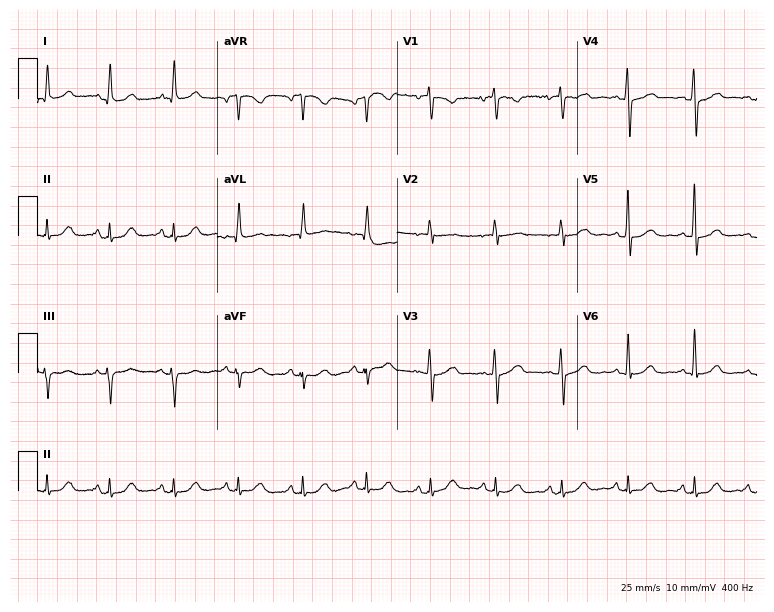
ECG — a woman, 69 years old. Labelled as a normal ECG.